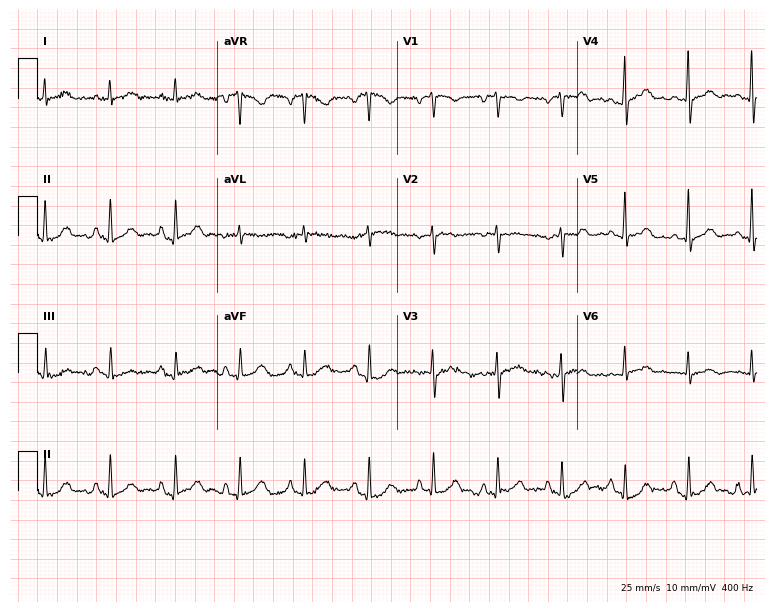
ECG — a female, 62 years old. Labelled as a normal ECG.